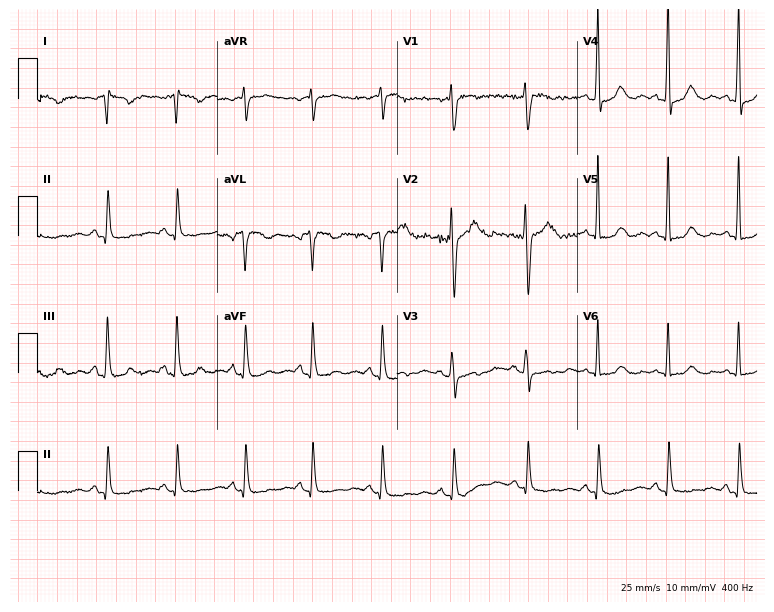
Resting 12-lead electrocardiogram. Patient: a female, 52 years old. None of these six findings is recorded: first-degree AV block, right bundle branch block, left bundle branch block, sinus bradycardia, atrial fibrillation, sinus tachycardia. Only these six findings were labelled.